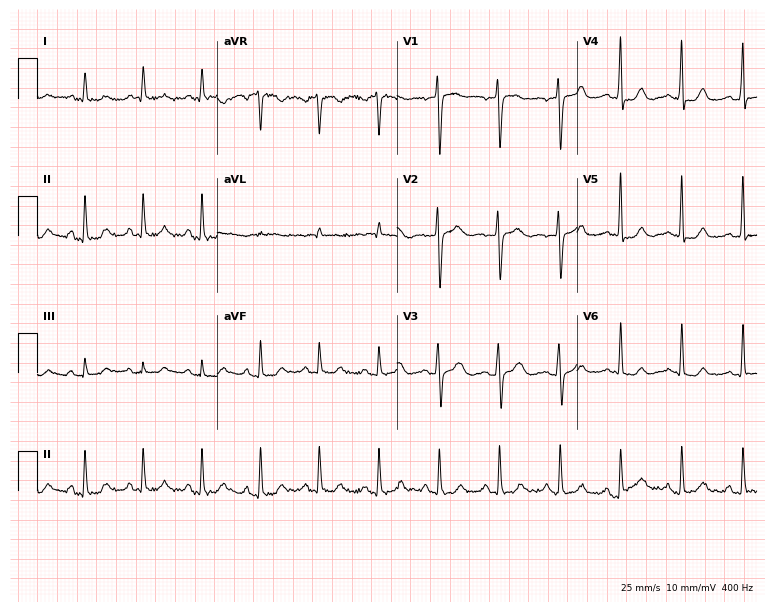
Resting 12-lead electrocardiogram (7.3-second recording at 400 Hz). Patient: a 45-year-old woman. None of these six findings is recorded: first-degree AV block, right bundle branch block (RBBB), left bundle branch block (LBBB), sinus bradycardia, atrial fibrillation (AF), sinus tachycardia. Only these six findings were labelled.